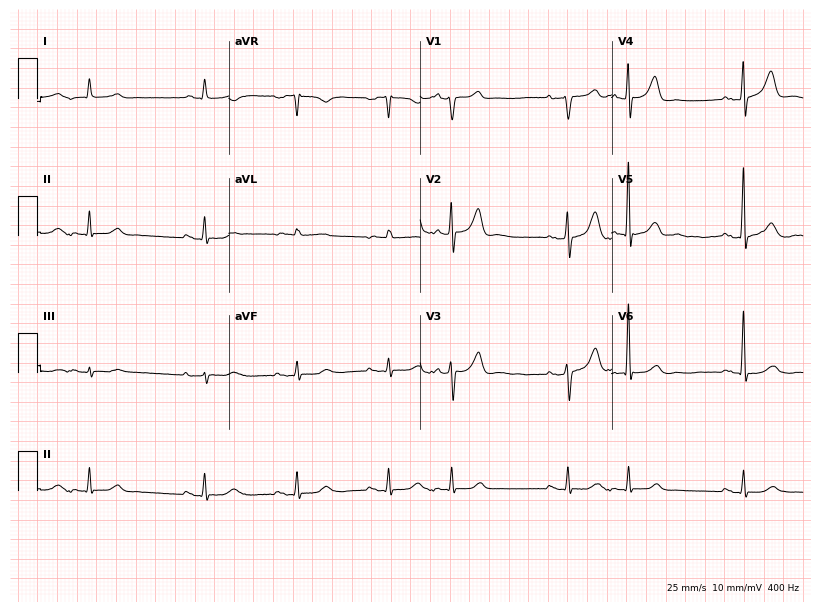
12-lead ECG (7.8-second recording at 400 Hz) from a male patient, 80 years old. Screened for six findings — first-degree AV block, right bundle branch block, left bundle branch block, sinus bradycardia, atrial fibrillation, sinus tachycardia — none is recorded.